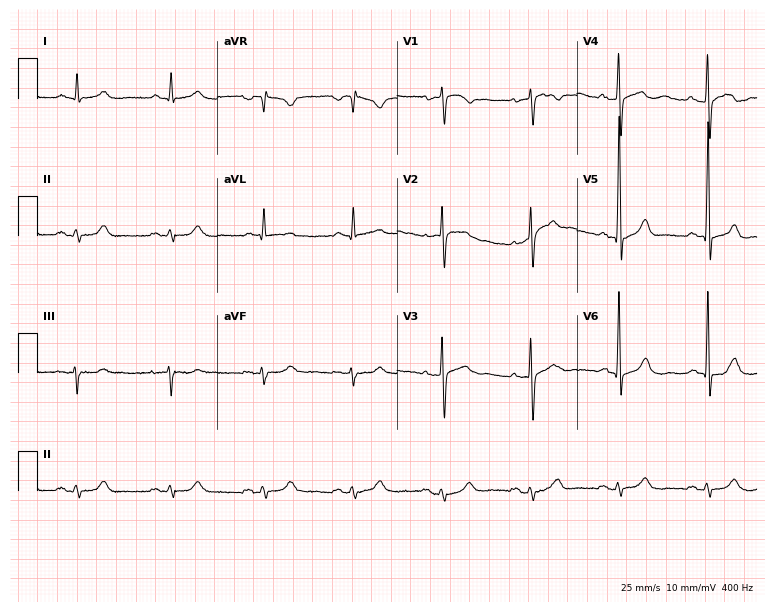
Electrocardiogram (7.3-second recording at 400 Hz), a man, 79 years old. Of the six screened findings (first-degree AV block, right bundle branch block, left bundle branch block, sinus bradycardia, atrial fibrillation, sinus tachycardia), none is recorded.